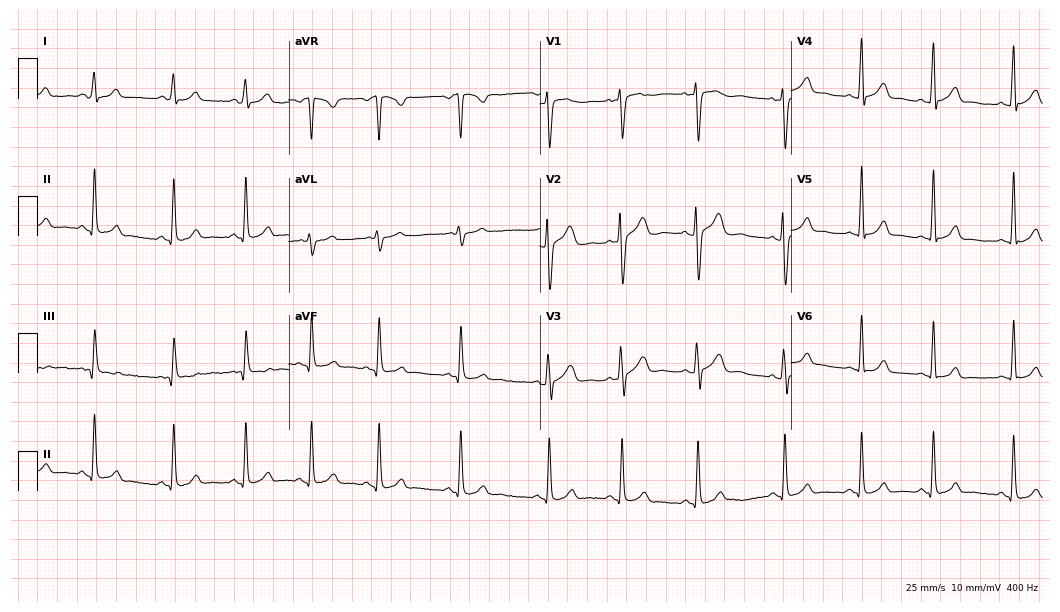
Electrocardiogram (10.2-second recording at 400 Hz), an 18-year-old woman. Overall reading on record: normal ECG.